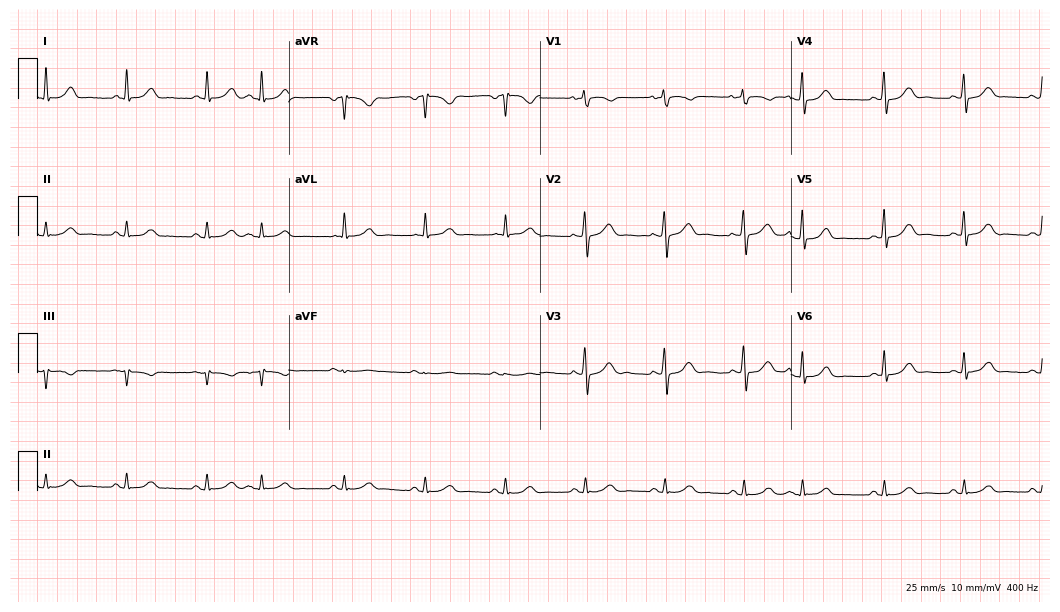
Resting 12-lead electrocardiogram (10.2-second recording at 400 Hz). Patient: a male, 84 years old. Read as a normal ECG.